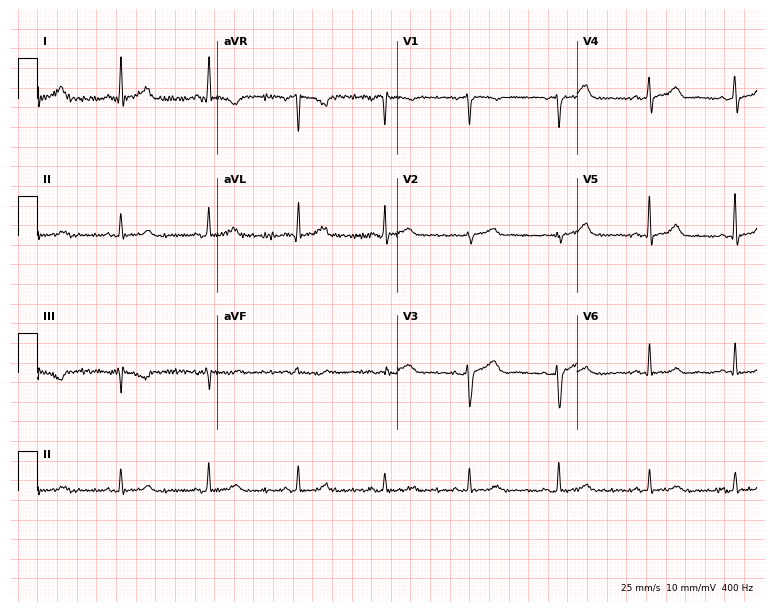
Resting 12-lead electrocardiogram. Patient: a female, 62 years old. Read as a normal ECG.